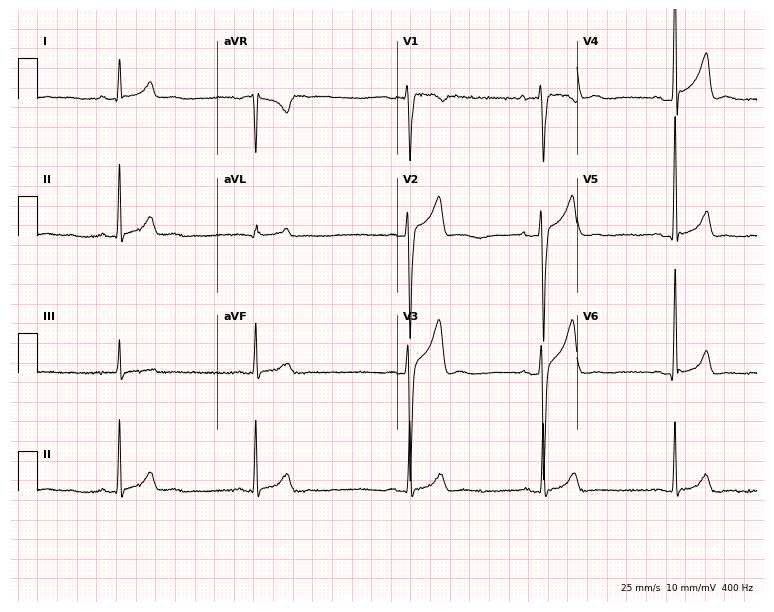
Standard 12-lead ECG recorded from a male, 40 years old (7.3-second recording at 400 Hz). The tracing shows sinus bradycardia (a sinus rate of 50 beats per minute or less).